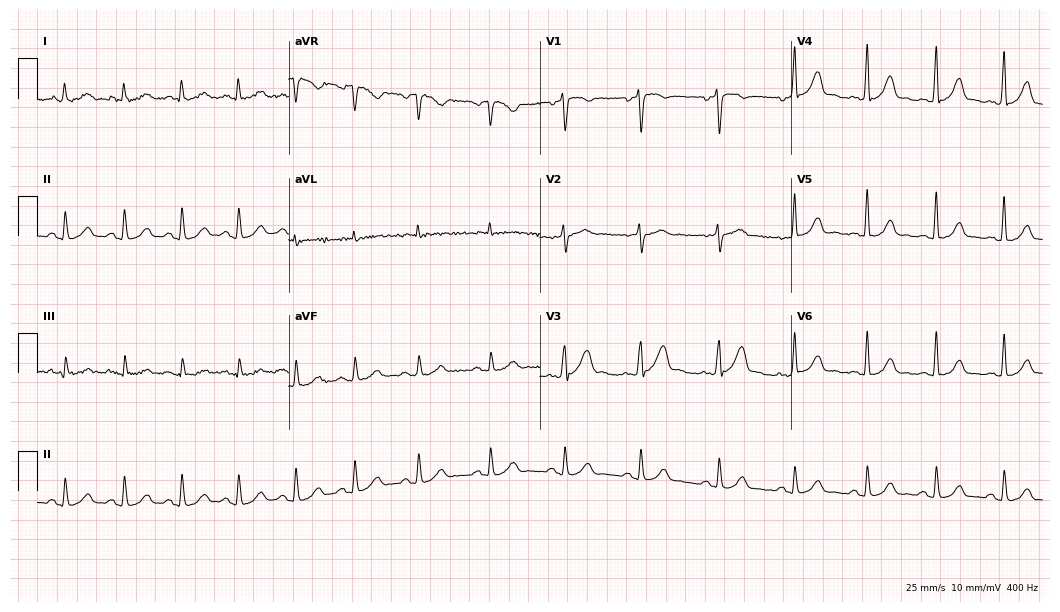
12-lead ECG from a 39-year-old man. Labelled as a normal ECG.